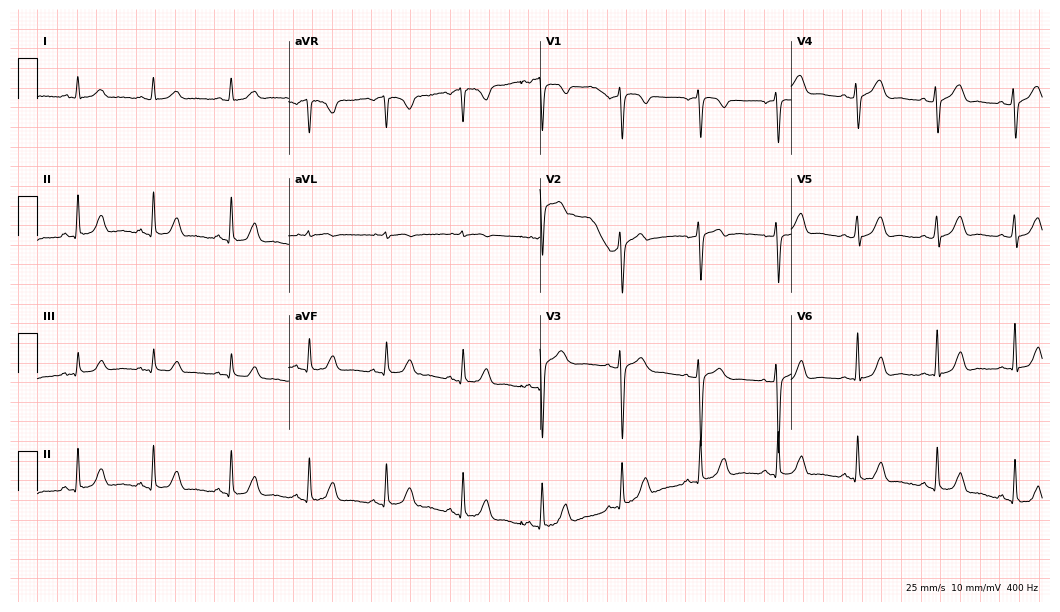
ECG — a 49-year-old female patient. Screened for six findings — first-degree AV block, right bundle branch block, left bundle branch block, sinus bradycardia, atrial fibrillation, sinus tachycardia — none is recorded.